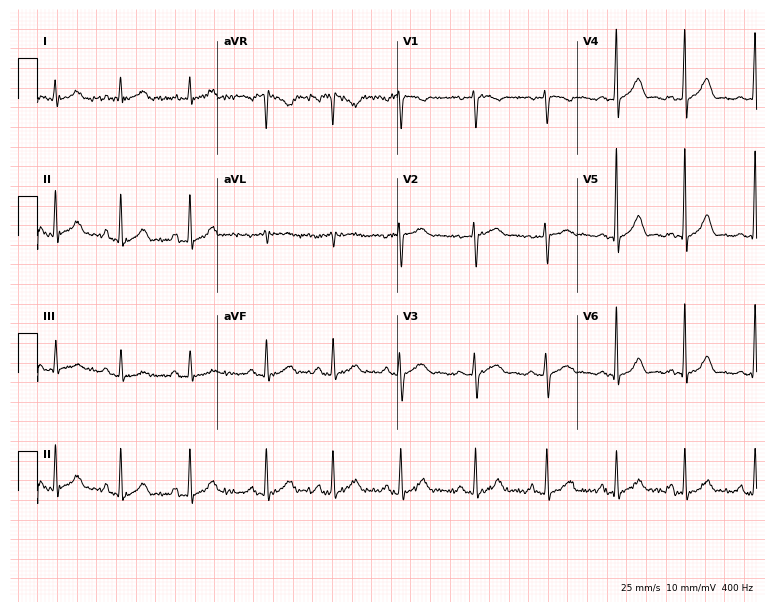
12-lead ECG from a 27-year-old female (7.3-second recording at 400 Hz). Recorded interpretation: within normal limits.